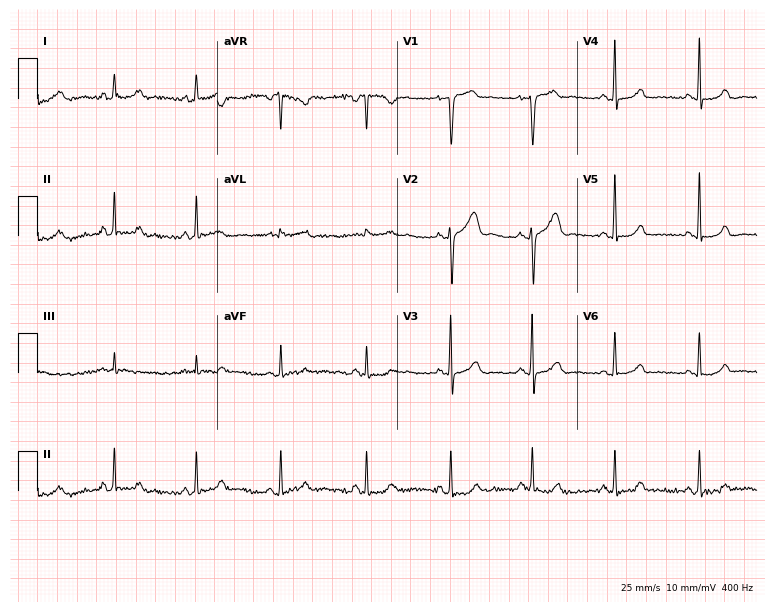
Electrocardiogram, a female patient, 35 years old. Overall reading on record: normal ECG.